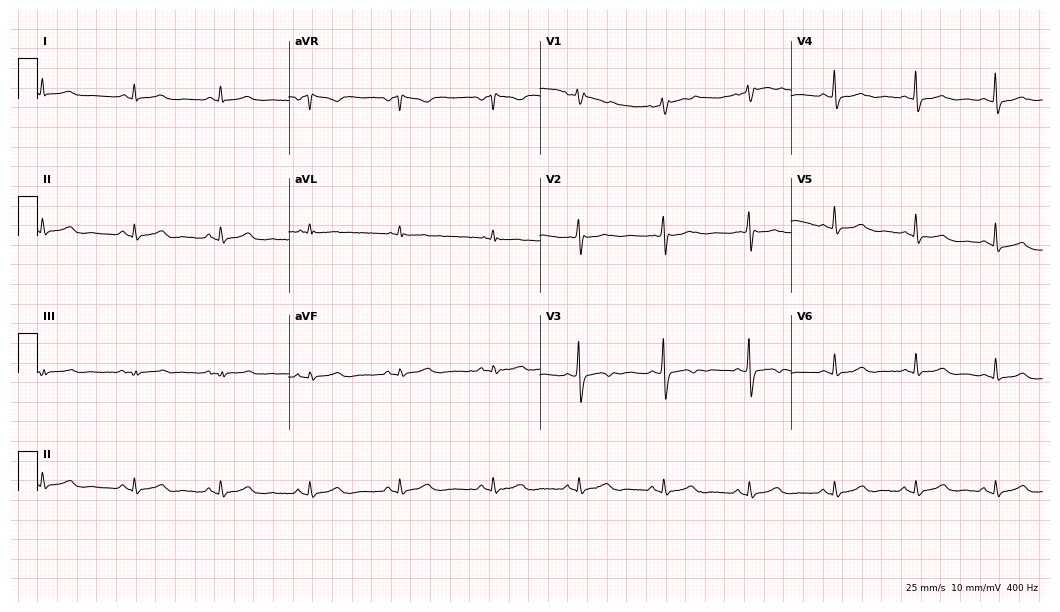
12-lead ECG from a 41-year-old female patient (10.2-second recording at 400 Hz). No first-degree AV block, right bundle branch block, left bundle branch block, sinus bradycardia, atrial fibrillation or sinus tachycardia recorded for this tracing. Only these six findings were labelled.